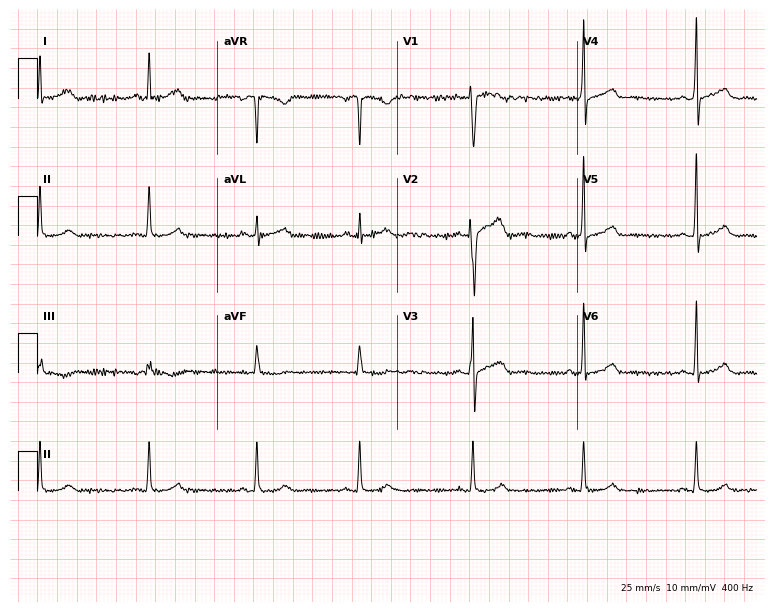
Standard 12-lead ECG recorded from a male, 28 years old (7.3-second recording at 400 Hz). None of these six findings is recorded: first-degree AV block, right bundle branch block, left bundle branch block, sinus bradycardia, atrial fibrillation, sinus tachycardia. Findings outside these six are not listed.